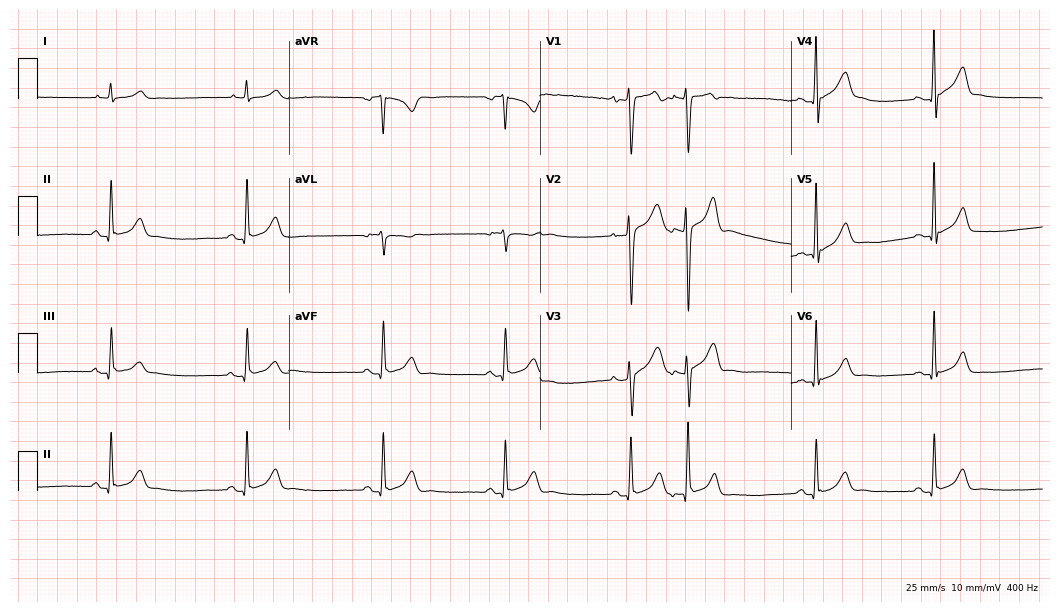
ECG (10.2-second recording at 400 Hz) — a 29-year-old male patient. Findings include sinus bradycardia (a sinus rate of 50 beats per minute or less).